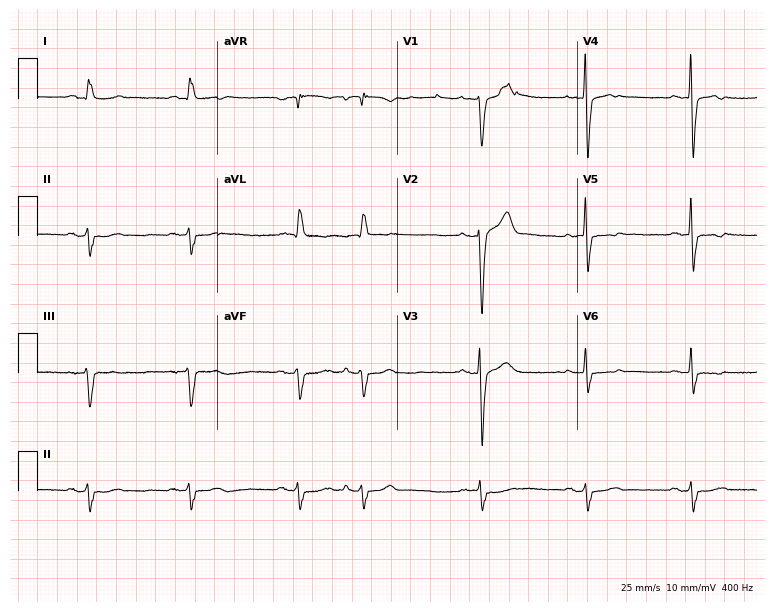
Electrocardiogram (7.3-second recording at 400 Hz), a 78-year-old male patient. Of the six screened findings (first-degree AV block, right bundle branch block (RBBB), left bundle branch block (LBBB), sinus bradycardia, atrial fibrillation (AF), sinus tachycardia), none is recorded. Other findings, if any, are not listed.